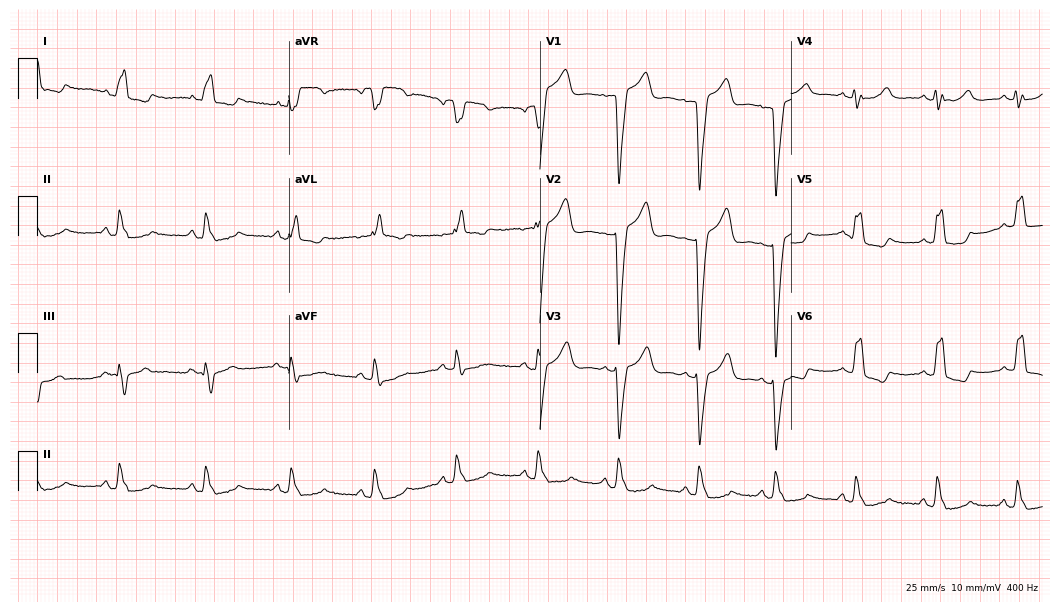
12-lead ECG from a 61-year-old woman. Shows left bundle branch block.